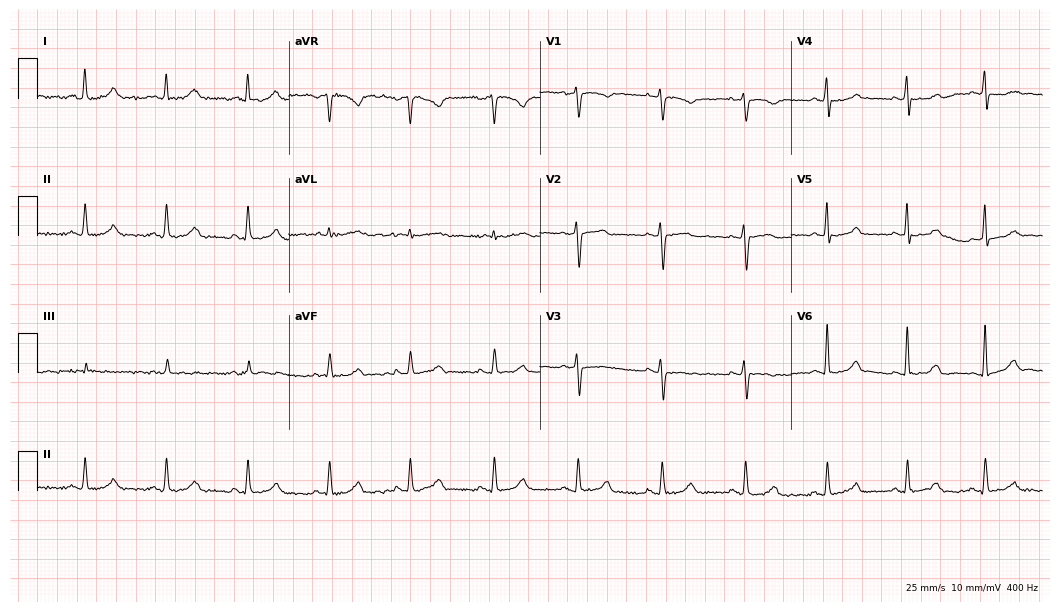
Electrocardiogram, a 67-year-old woman. Overall reading on record: normal ECG.